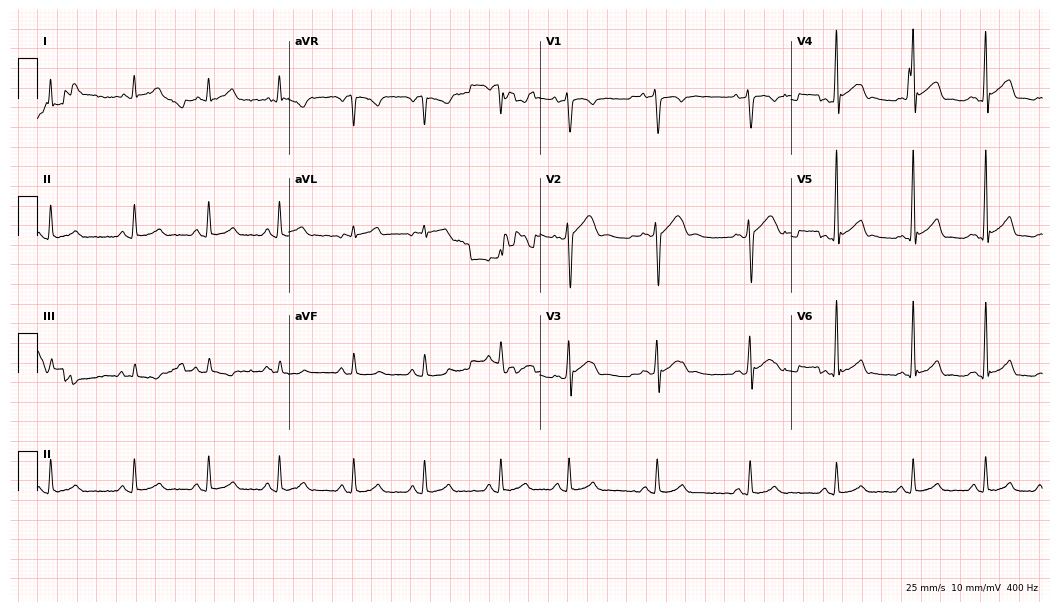
ECG — a man, 32 years old. Labelled as a normal ECG.